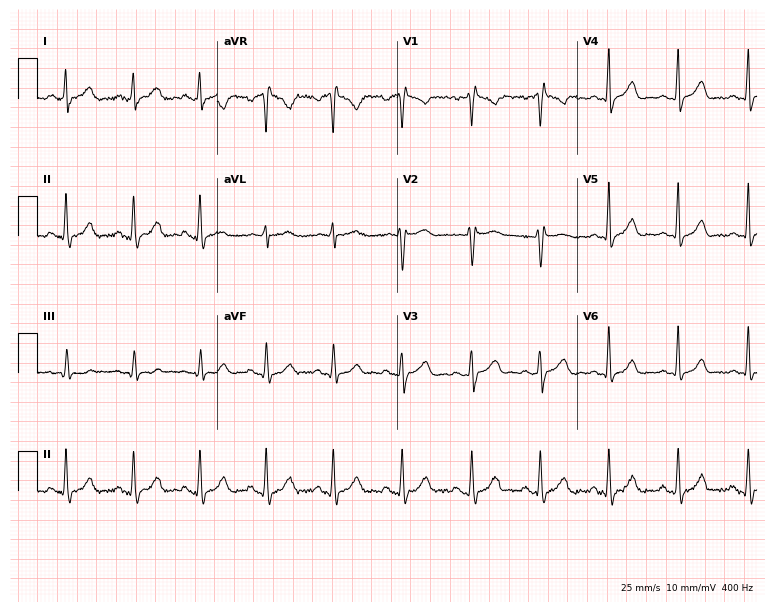
ECG (7.3-second recording at 400 Hz) — a 26-year-old woman. Screened for six findings — first-degree AV block, right bundle branch block, left bundle branch block, sinus bradycardia, atrial fibrillation, sinus tachycardia — none is recorded.